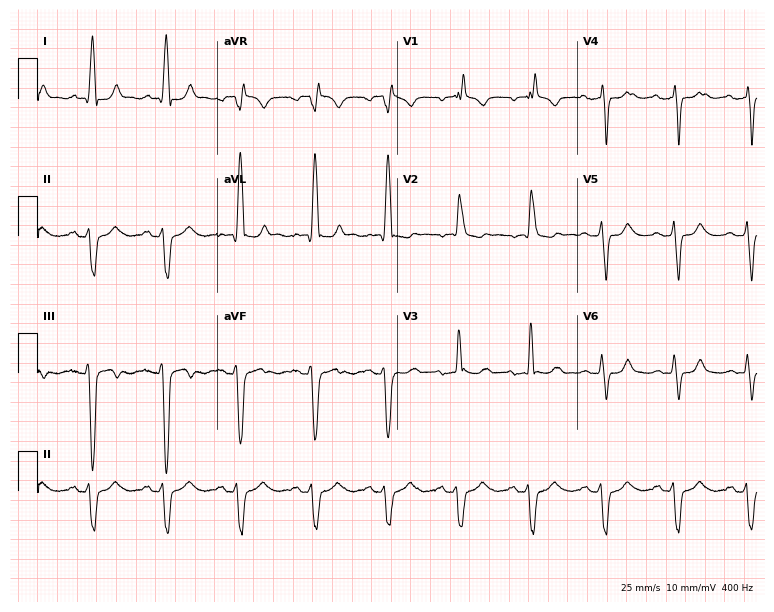
12-lead ECG from a 55-year-old female patient. Findings include right bundle branch block.